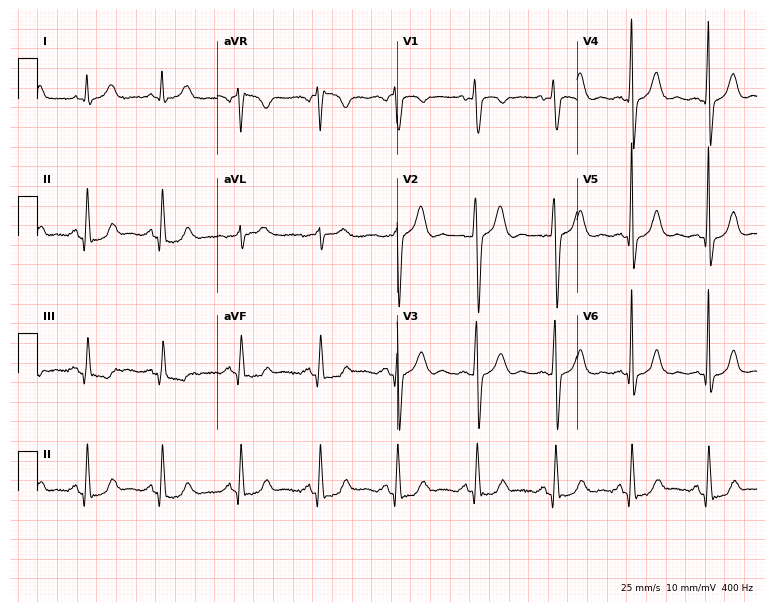
ECG — a male patient, 49 years old. Screened for six findings — first-degree AV block, right bundle branch block, left bundle branch block, sinus bradycardia, atrial fibrillation, sinus tachycardia — none is recorded.